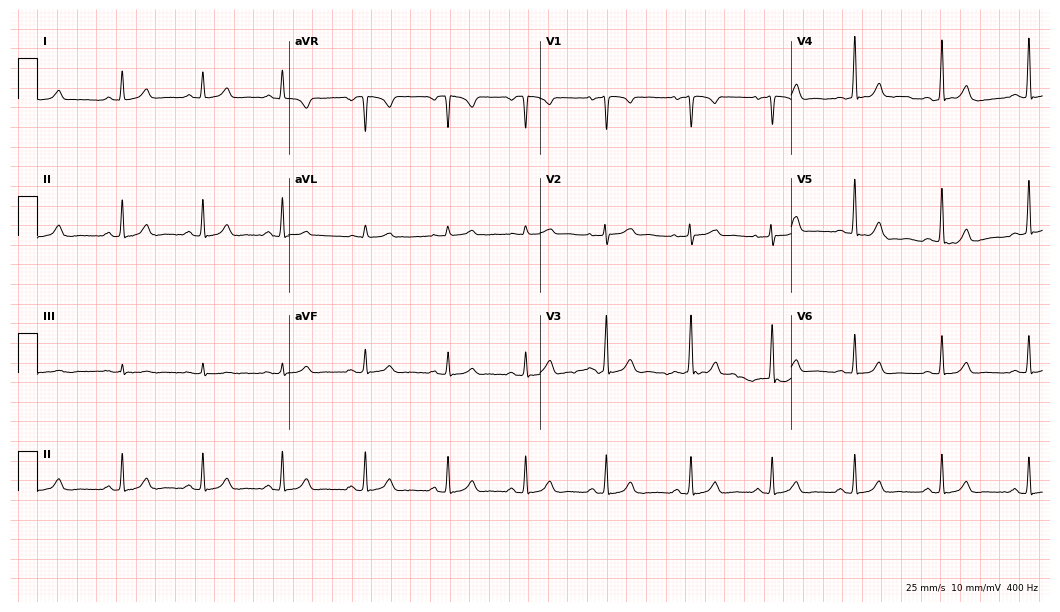
12-lead ECG (10.2-second recording at 400 Hz) from a 28-year-old woman. Labelled as a normal ECG.